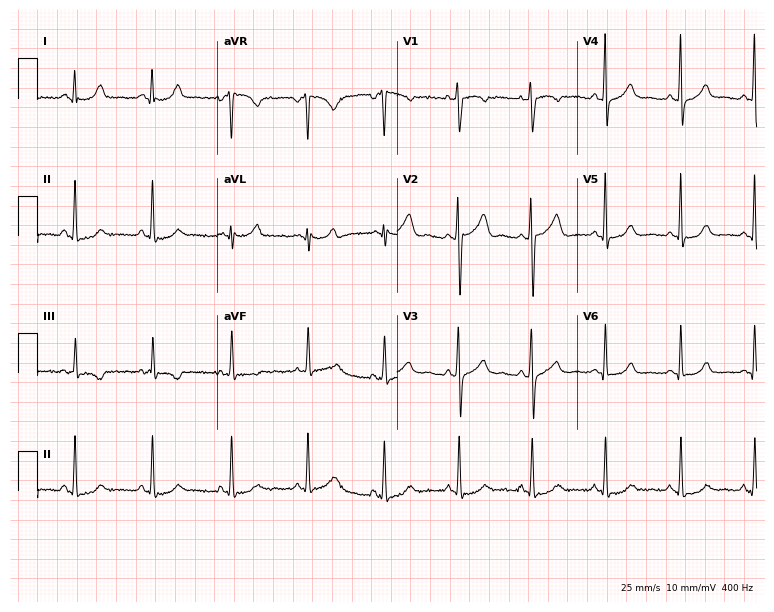
ECG (7.3-second recording at 400 Hz) — a woman, 31 years old. Labelled as a normal ECG.